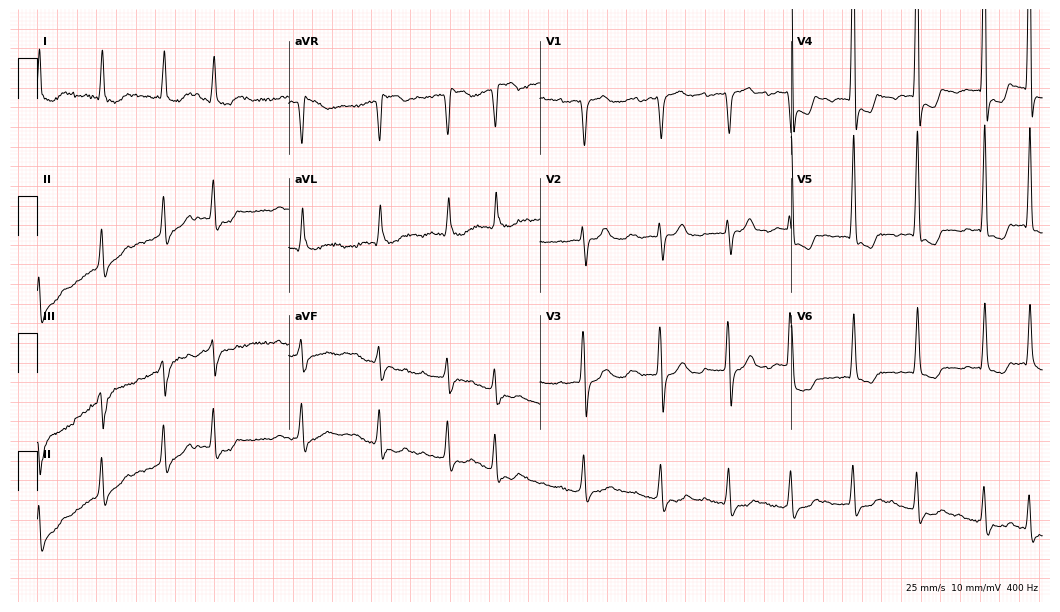
ECG (10.2-second recording at 400 Hz) — a 78-year-old woman. Findings include first-degree AV block.